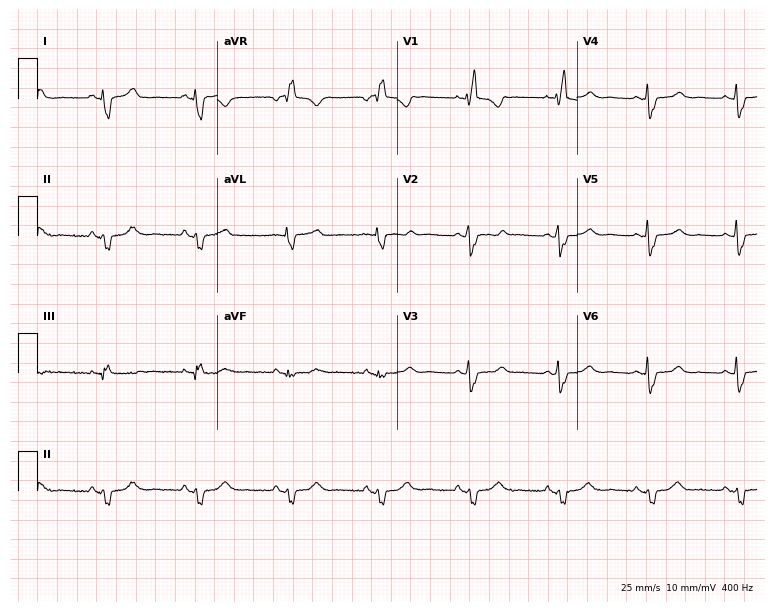
Resting 12-lead electrocardiogram (7.3-second recording at 400 Hz). Patient: a female, 46 years old. The tracing shows right bundle branch block.